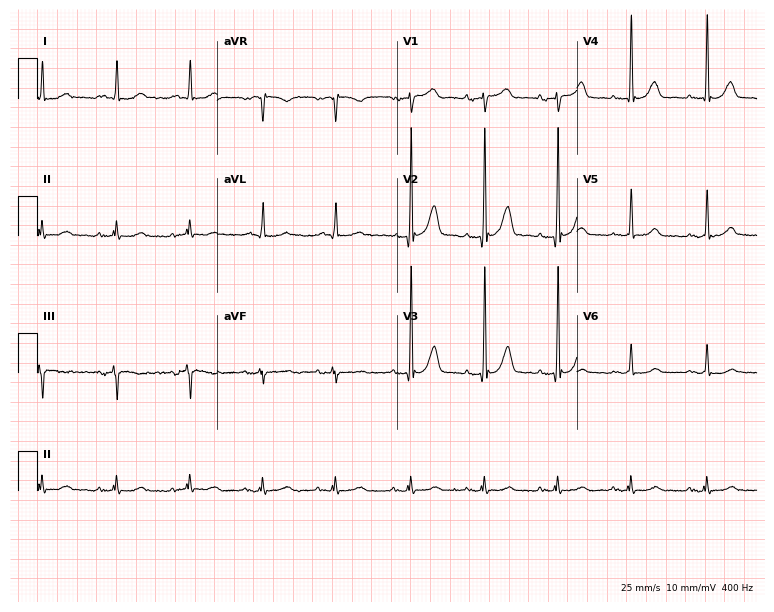
Standard 12-lead ECG recorded from a male, 78 years old. None of these six findings is recorded: first-degree AV block, right bundle branch block (RBBB), left bundle branch block (LBBB), sinus bradycardia, atrial fibrillation (AF), sinus tachycardia.